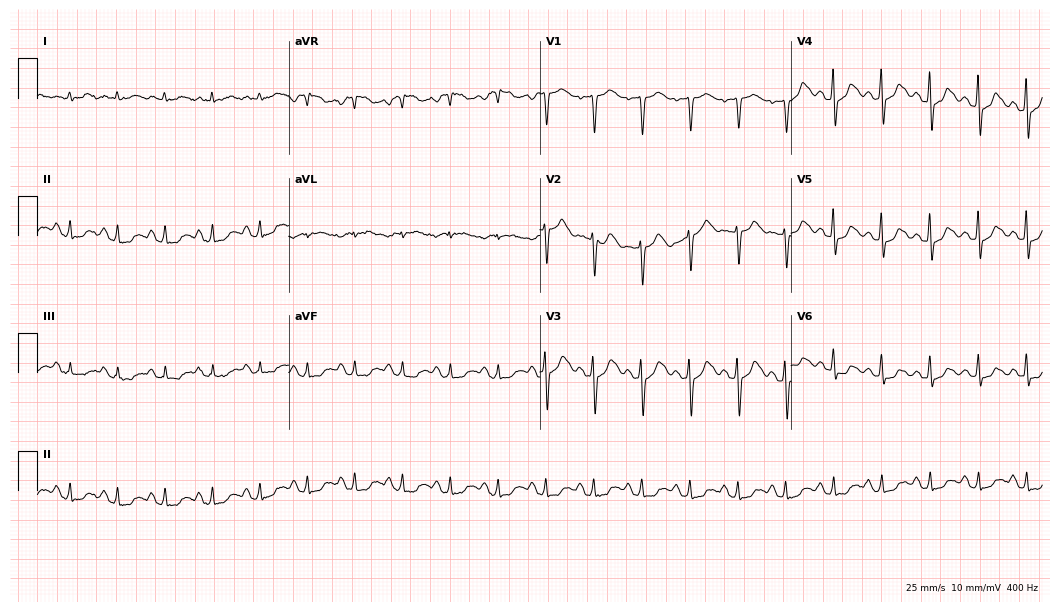
Electrocardiogram (10.2-second recording at 400 Hz), a 70-year-old female. Interpretation includes sinus tachycardia (a sinus rate of 100 beats per minute or more).